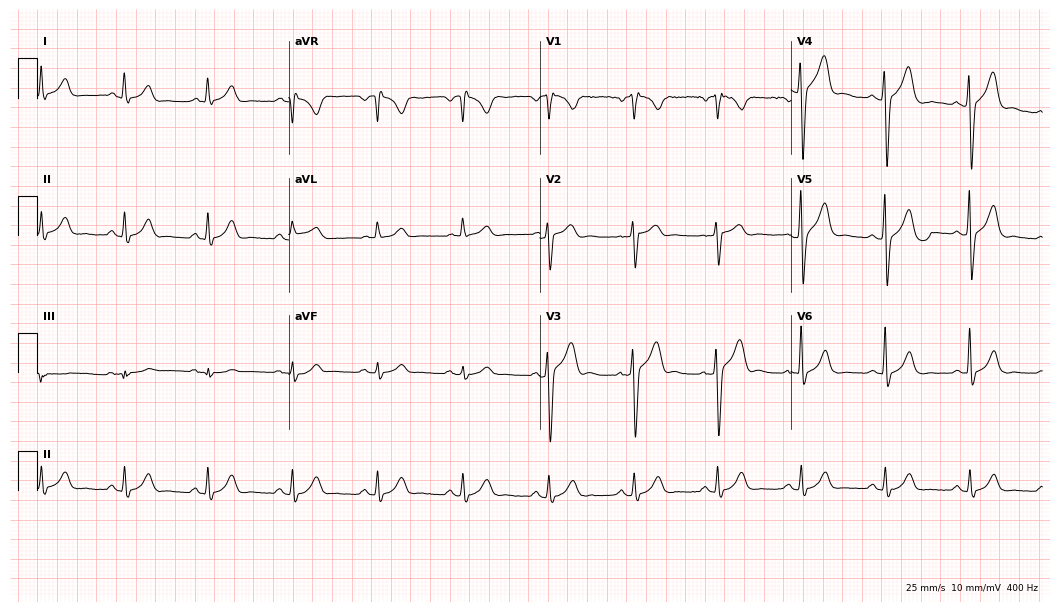
ECG (10.2-second recording at 400 Hz) — a 60-year-old male. Labelled as a normal ECG.